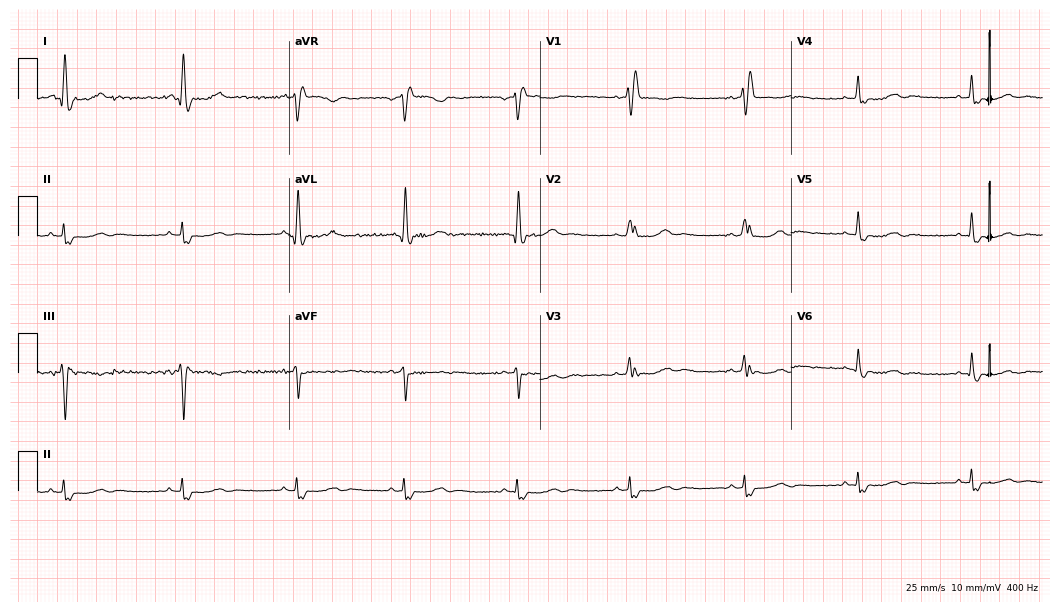
Resting 12-lead electrocardiogram. Patient: a 60-year-old woman. The tracing shows right bundle branch block (RBBB).